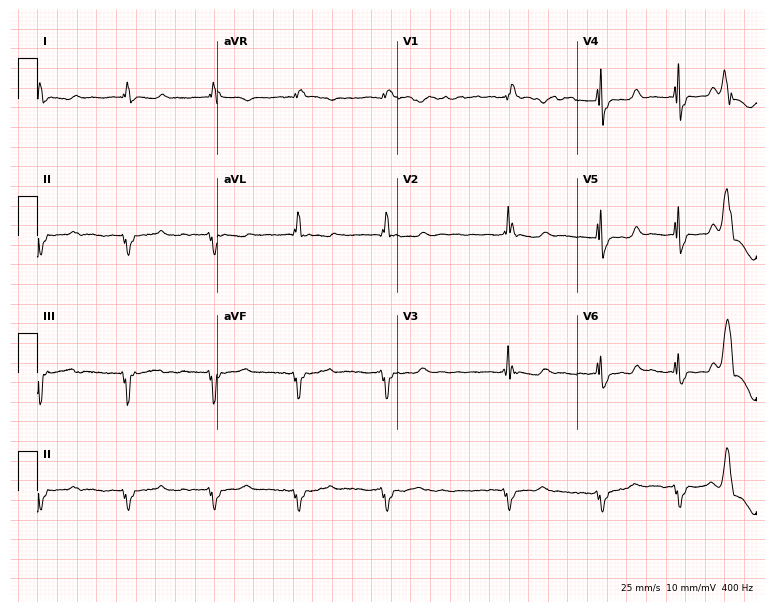
12-lead ECG from a female patient, 61 years old (7.3-second recording at 400 Hz). No first-degree AV block, right bundle branch block, left bundle branch block, sinus bradycardia, atrial fibrillation or sinus tachycardia recorded for this tracing.